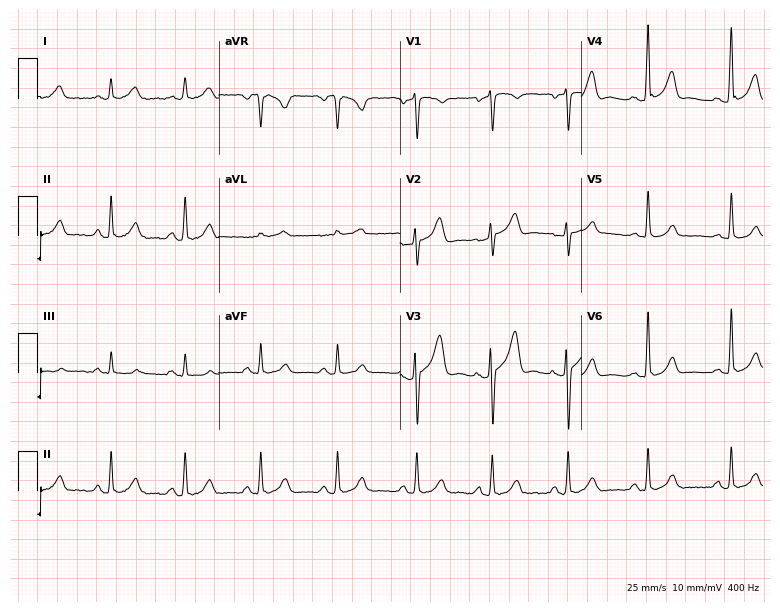
Electrocardiogram (7.4-second recording at 400 Hz), a 34-year-old male patient. Of the six screened findings (first-degree AV block, right bundle branch block (RBBB), left bundle branch block (LBBB), sinus bradycardia, atrial fibrillation (AF), sinus tachycardia), none is recorded.